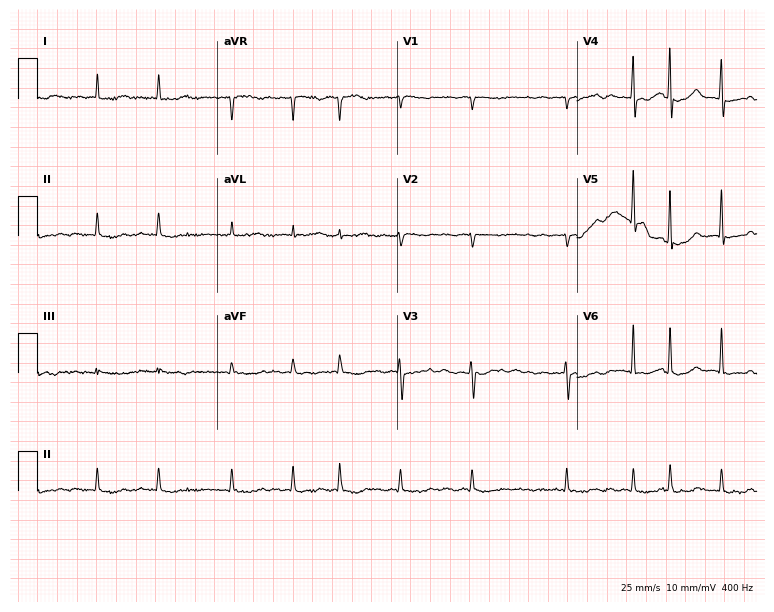
Electrocardiogram, an 80-year-old female. Interpretation includes atrial fibrillation.